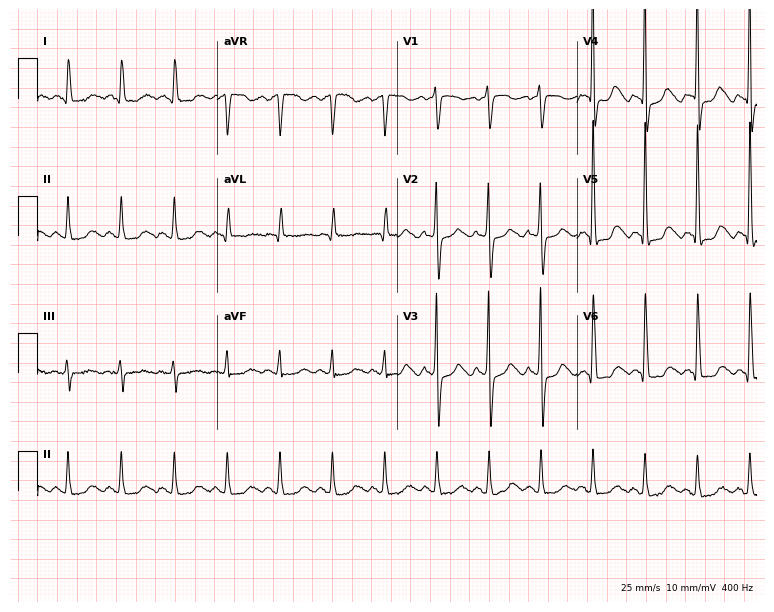
Resting 12-lead electrocardiogram (7.3-second recording at 400 Hz). Patient: a female, 70 years old. The tracing shows sinus tachycardia (a sinus rate of 100 beats per minute or more).